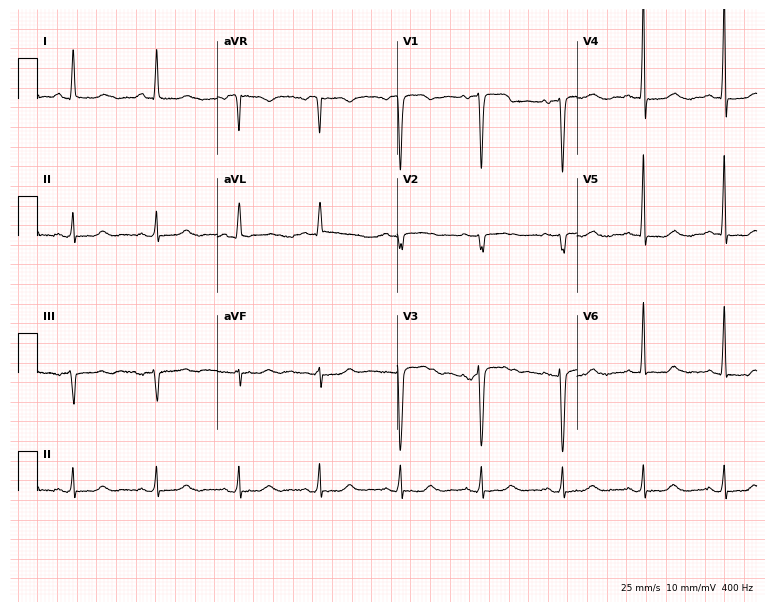
ECG (7.3-second recording at 400 Hz) — a female patient, 53 years old. Screened for six findings — first-degree AV block, right bundle branch block, left bundle branch block, sinus bradycardia, atrial fibrillation, sinus tachycardia — none is recorded. Only these six findings were labelled.